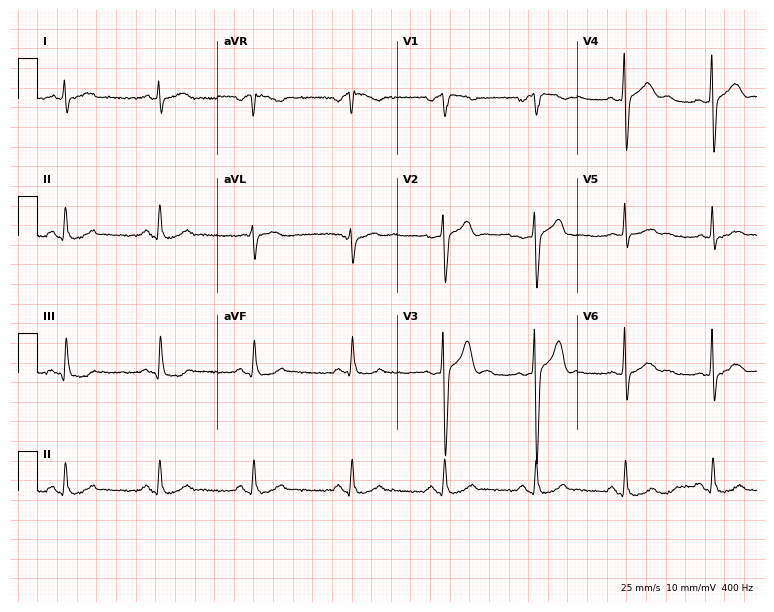
Electrocardiogram (7.3-second recording at 400 Hz), a male patient, 61 years old. Overall reading on record: normal ECG.